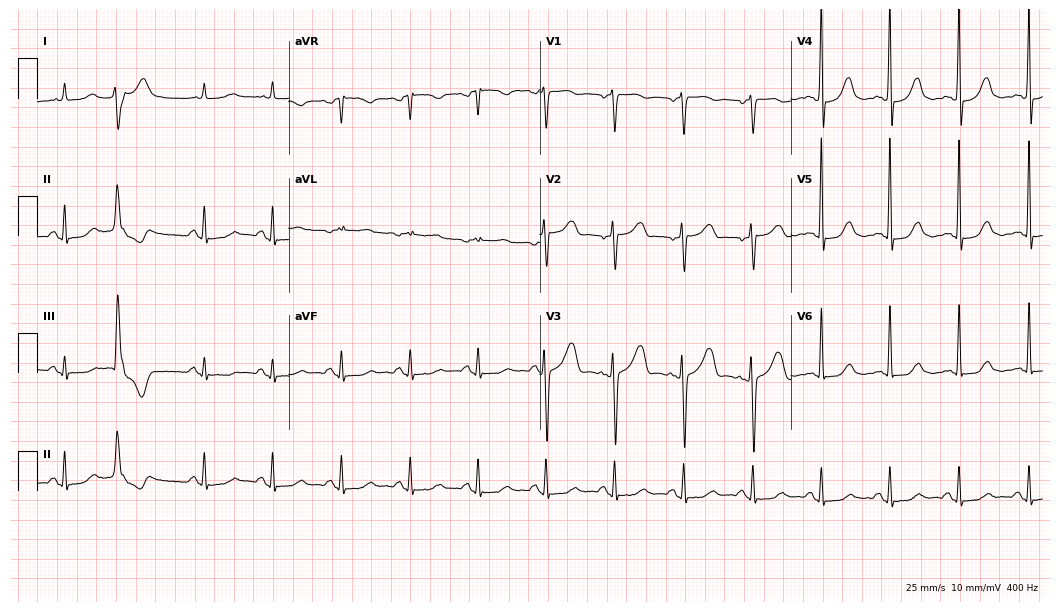
Electrocardiogram (10.2-second recording at 400 Hz), a female patient, 72 years old. Of the six screened findings (first-degree AV block, right bundle branch block, left bundle branch block, sinus bradycardia, atrial fibrillation, sinus tachycardia), none is recorded.